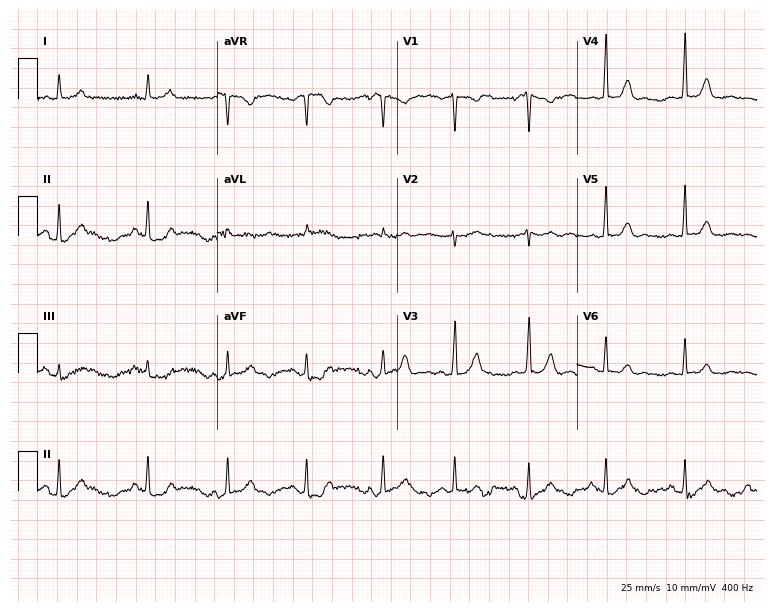
ECG — a female patient, 24 years old. Labelled as a normal ECG.